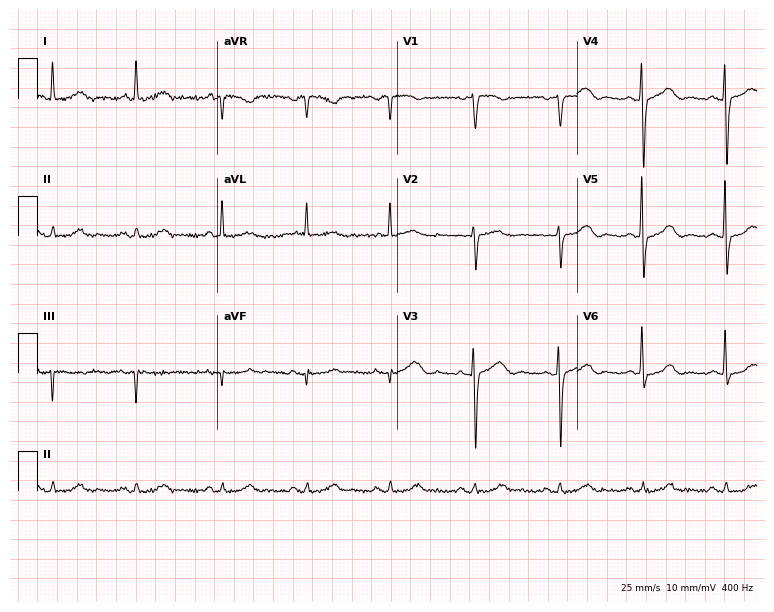
Electrocardiogram (7.3-second recording at 400 Hz), a female, 76 years old. Overall reading on record: normal ECG.